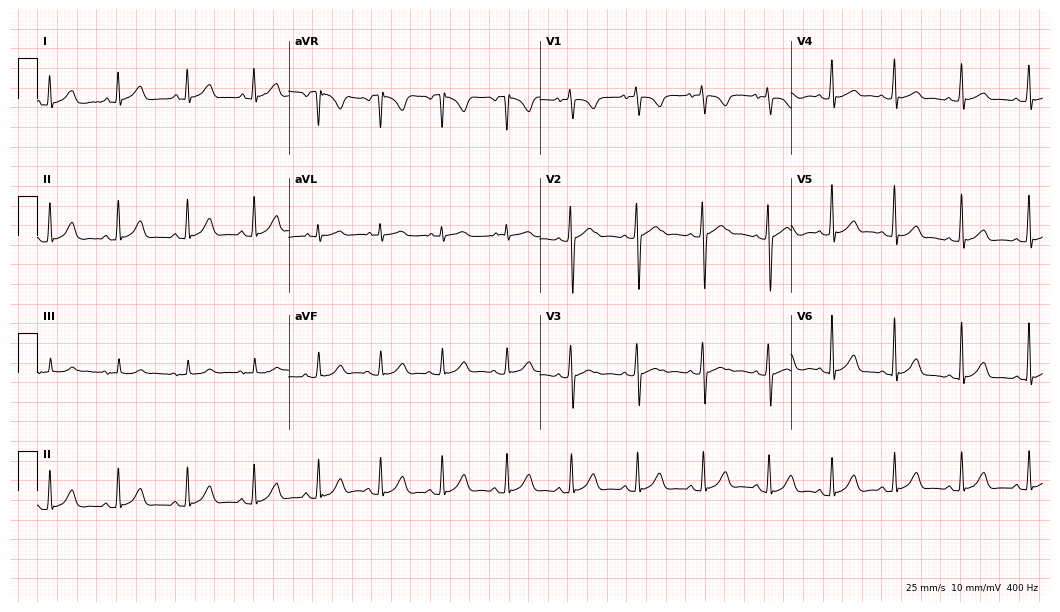
Resting 12-lead electrocardiogram. Patient: a man, 17 years old. Read as a normal ECG.